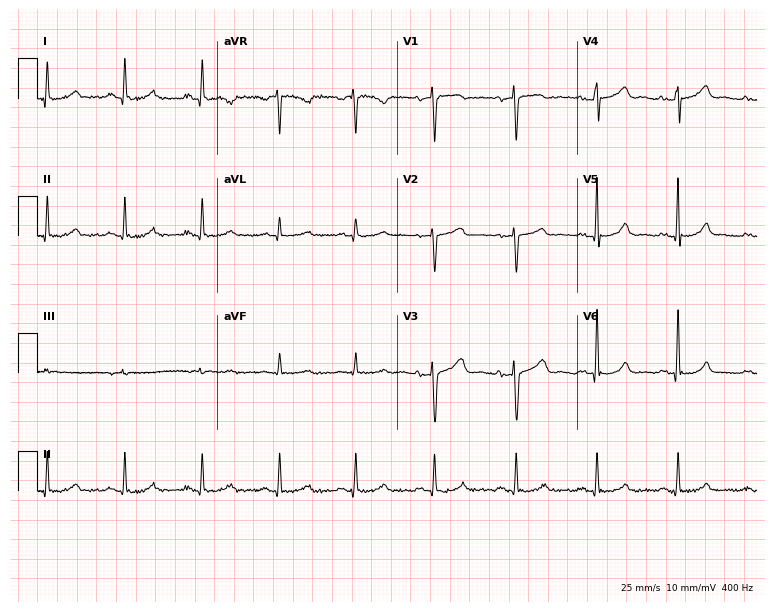
Standard 12-lead ECG recorded from a female patient, 41 years old (7.3-second recording at 400 Hz). None of these six findings is recorded: first-degree AV block, right bundle branch block, left bundle branch block, sinus bradycardia, atrial fibrillation, sinus tachycardia. Other findings, if any, are not listed.